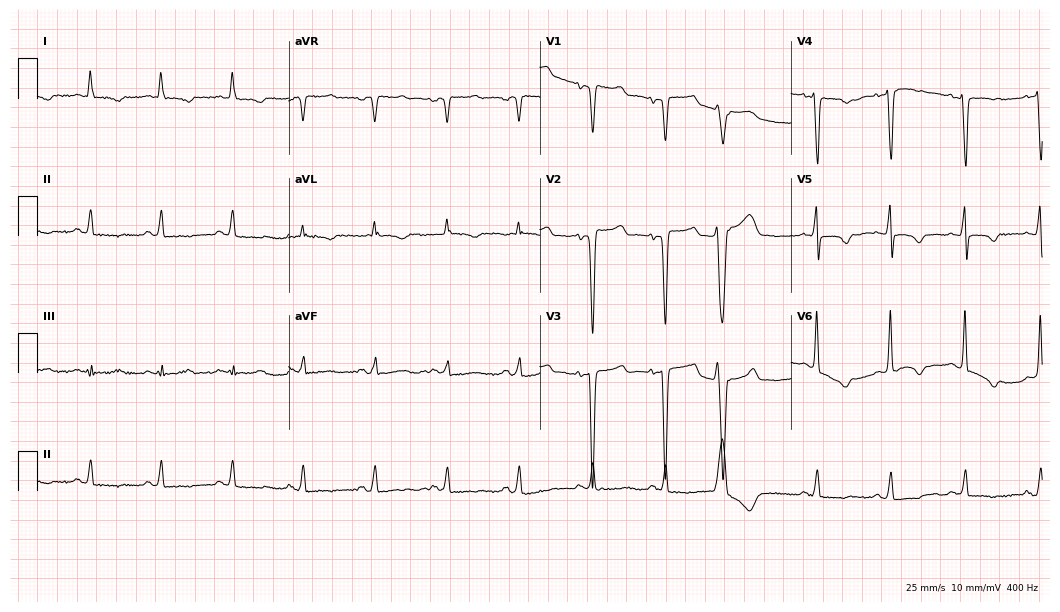
12-lead ECG from a female patient, 70 years old. No first-degree AV block, right bundle branch block, left bundle branch block, sinus bradycardia, atrial fibrillation or sinus tachycardia recorded for this tracing.